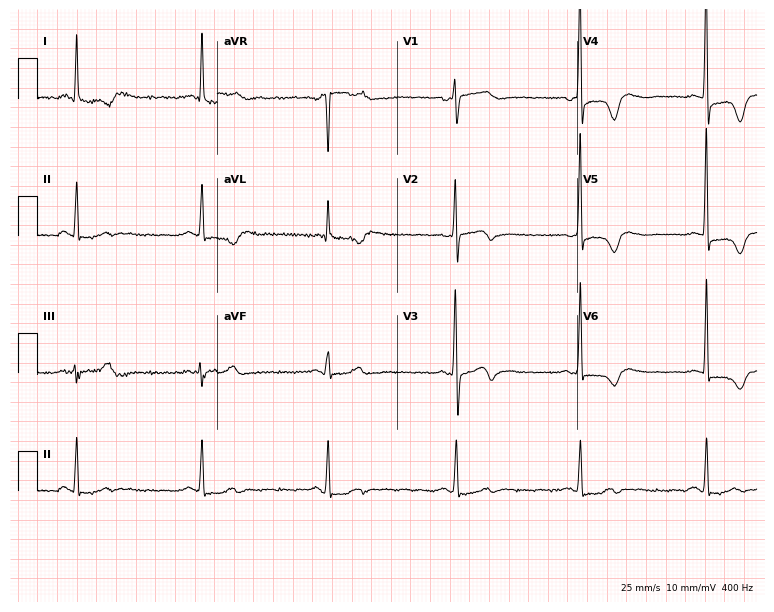
Resting 12-lead electrocardiogram. Patient: a 77-year-old woman. The tracing shows sinus bradycardia (a sinus rate of 50 beats per minute or less).